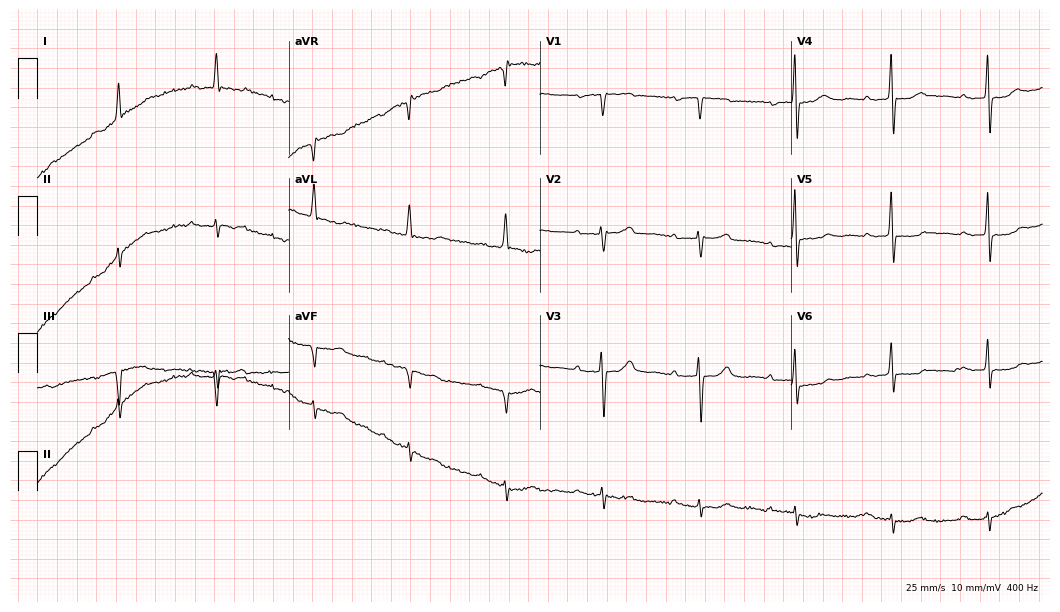
ECG — a female patient, 76 years old. Screened for six findings — first-degree AV block, right bundle branch block, left bundle branch block, sinus bradycardia, atrial fibrillation, sinus tachycardia — none is recorded.